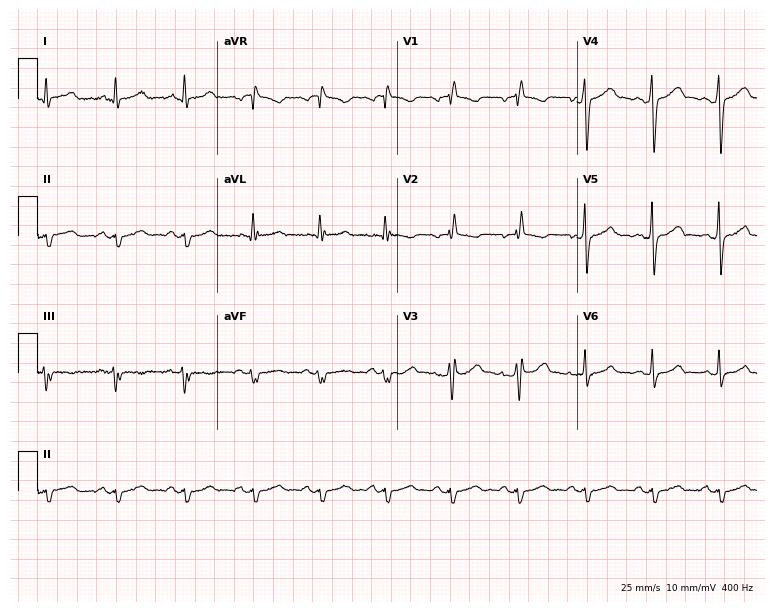
ECG (7.3-second recording at 400 Hz) — a man, 34 years old. Screened for six findings — first-degree AV block, right bundle branch block, left bundle branch block, sinus bradycardia, atrial fibrillation, sinus tachycardia — none is recorded.